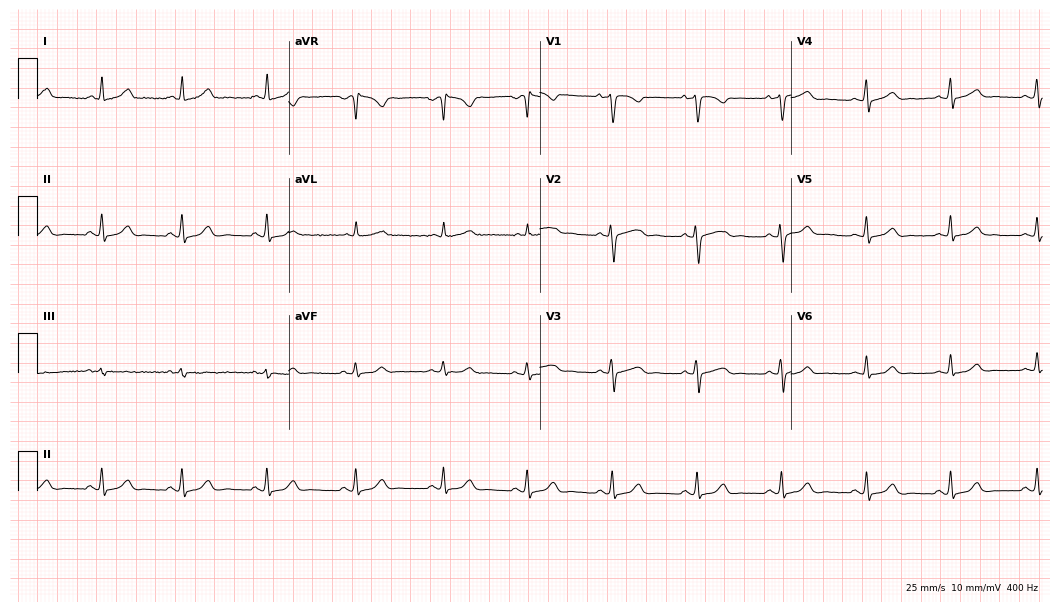
Resting 12-lead electrocardiogram (10.2-second recording at 400 Hz). Patient: a female, 26 years old. Read as a normal ECG.